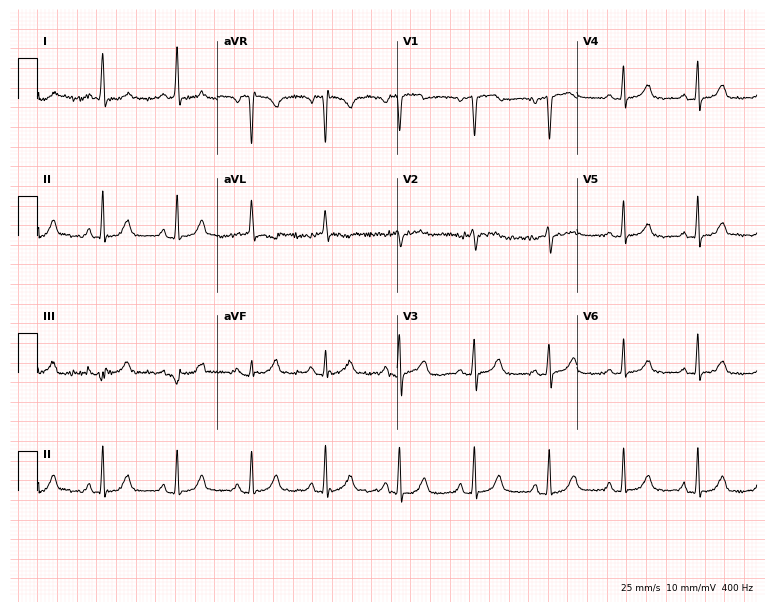
ECG (7.3-second recording at 400 Hz) — a woman, 73 years old. Screened for six findings — first-degree AV block, right bundle branch block, left bundle branch block, sinus bradycardia, atrial fibrillation, sinus tachycardia — none is recorded.